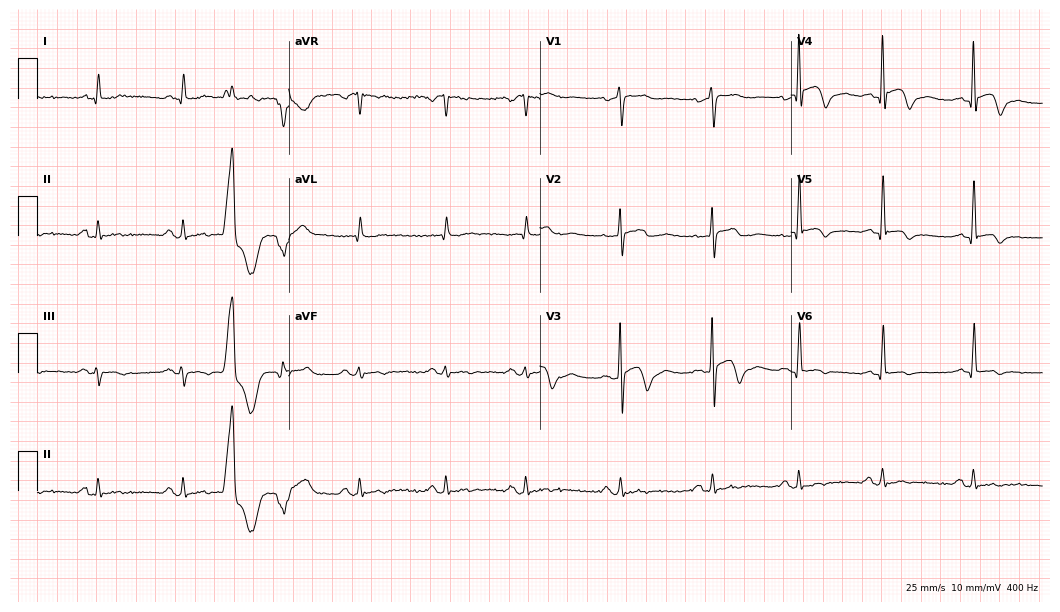
Resting 12-lead electrocardiogram (10.2-second recording at 400 Hz). Patient: a 78-year-old male. None of these six findings is recorded: first-degree AV block, right bundle branch block, left bundle branch block, sinus bradycardia, atrial fibrillation, sinus tachycardia.